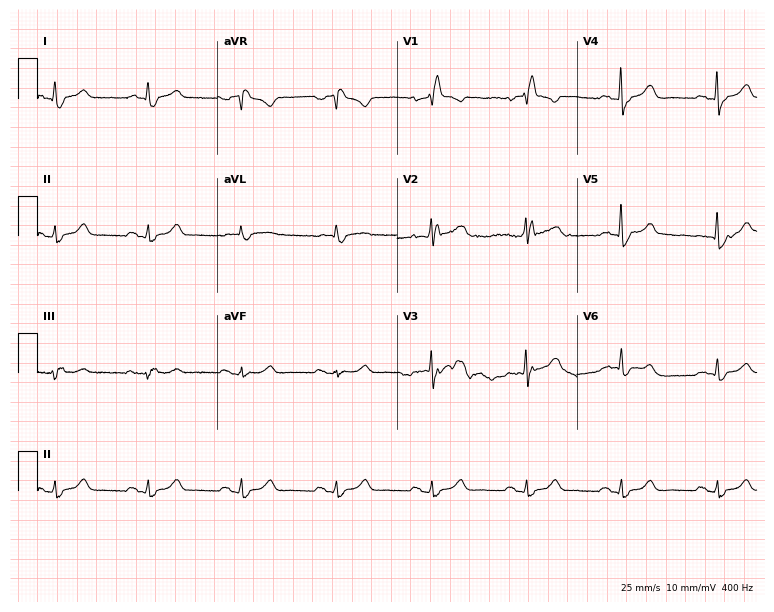
Standard 12-lead ECG recorded from a male, 82 years old. None of these six findings is recorded: first-degree AV block, right bundle branch block, left bundle branch block, sinus bradycardia, atrial fibrillation, sinus tachycardia. Findings outside these six are not listed.